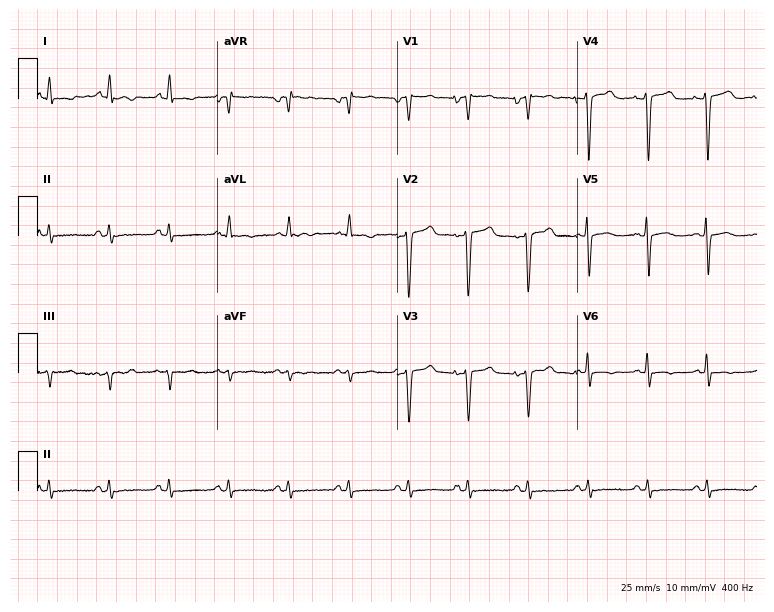
Resting 12-lead electrocardiogram (7.3-second recording at 400 Hz). Patient: a 67-year-old female. None of these six findings is recorded: first-degree AV block, right bundle branch block, left bundle branch block, sinus bradycardia, atrial fibrillation, sinus tachycardia. Findings outside these six are not listed.